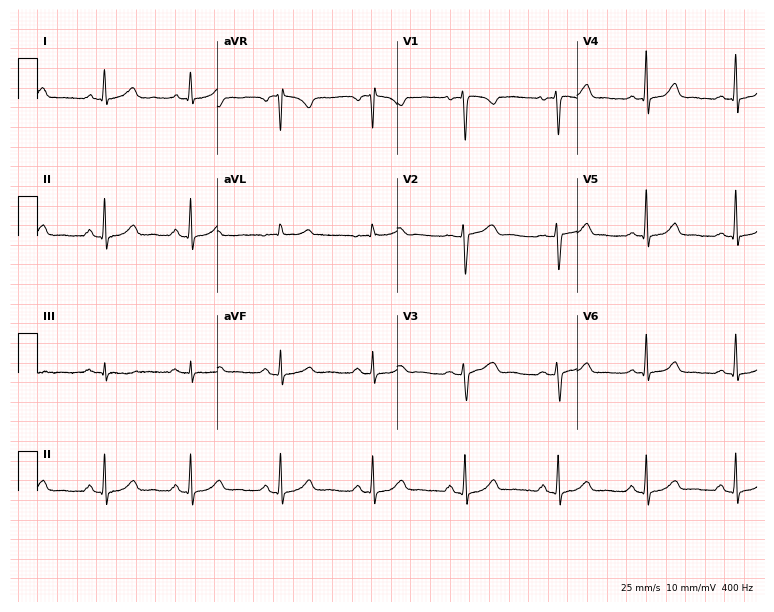
Electrocardiogram (7.3-second recording at 400 Hz), a 39-year-old woman. Overall reading on record: normal ECG.